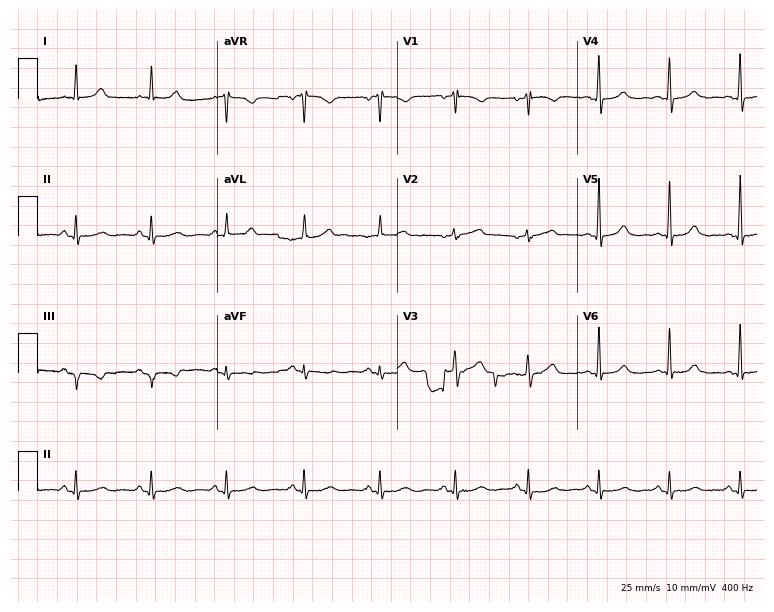
Standard 12-lead ECG recorded from a 67-year-old female patient. Read as a normal ECG.